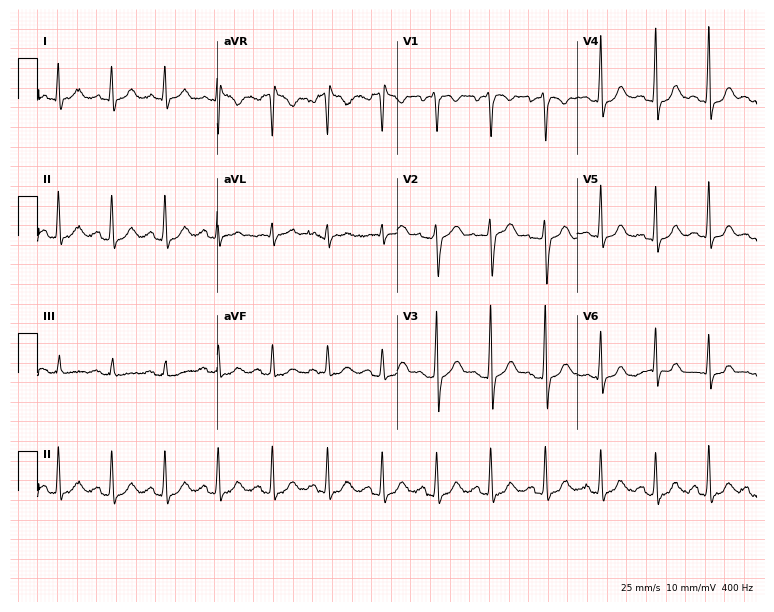
12-lead ECG (7.3-second recording at 400 Hz) from a woman, 28 years old. Findings include sinus tachycardia (a sinus rate of 100 beats per minute or more).